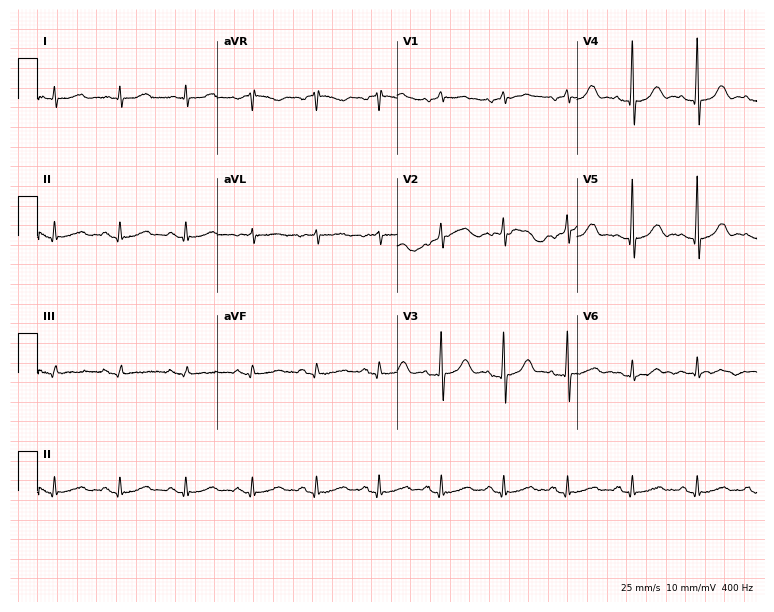
Standard 12-lead ECG recorded from a 75-year-old female (7.3-second recording at 400 Hz). None of these six findings is recorded: first-degree AV block, right bundle branch block, left bundle branch block, sinus bradycardia, atrial fibrillation, sinus tachycardia.